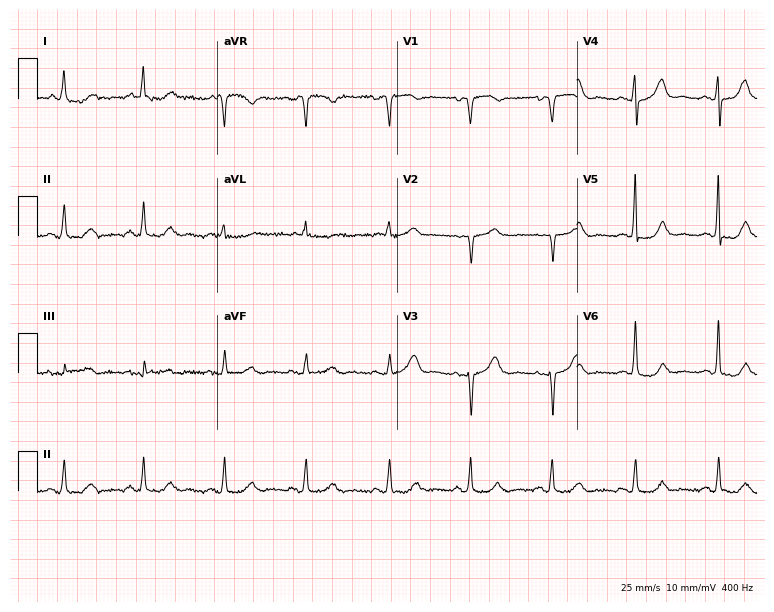
Resting 12-lead electrocardiogram (7.3-second recording at 400 Hz). Patient: an 83-year-old female. None of these six findings is recorded: first-degree AV block, right bundle branch block, left bundle branch block, sinus bradycardia, atrial fibrillation, sinus tachycardia. Findings outside these six are not listed.